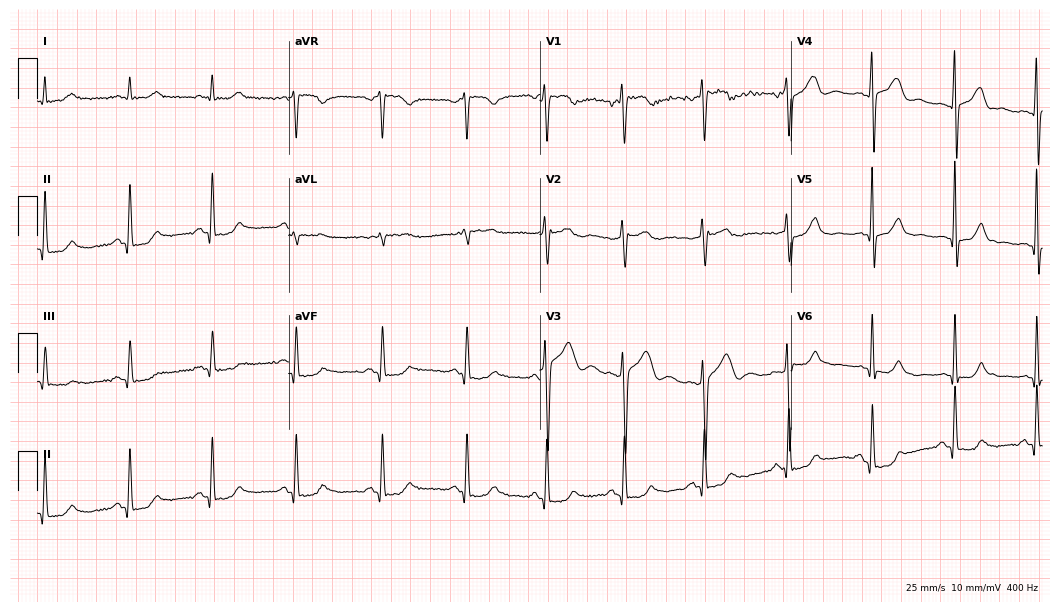
Electrocardiogram (10.2-second recording at 400 Hz), a male, 53 years old. Of the six screened findings (first-degree AV block, right bundle branch block (RBBB), left bundle branch block (LBBB), sinus bradycardia, atrial fibrillation (AF), sinus tachycardia), none is recorded.